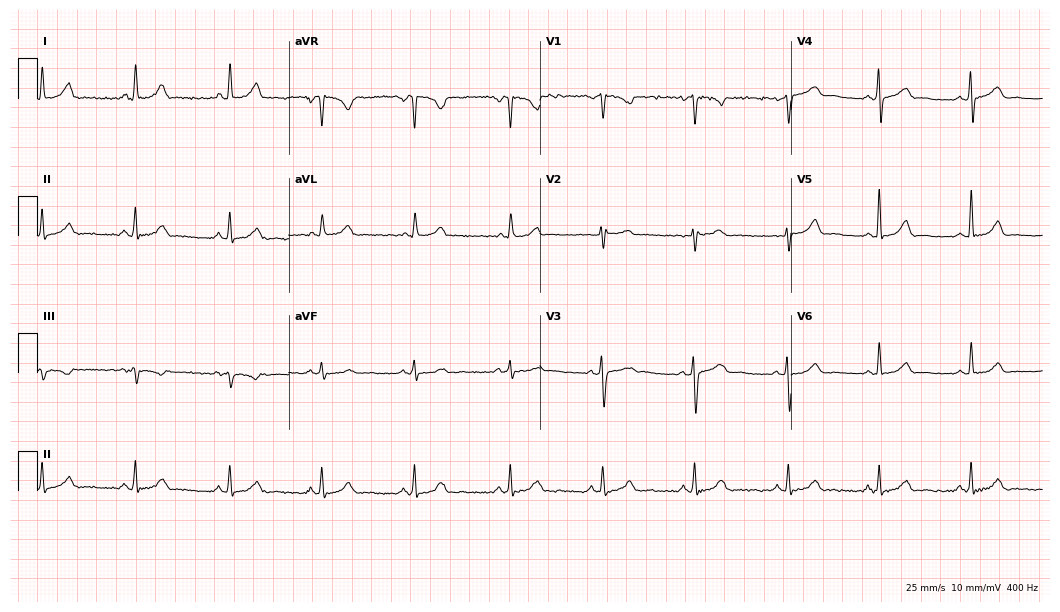
Electrocardiogram (10.2-second recording at 400 Hz), a 40-year-old female. Overall reading on record: normal ECG.